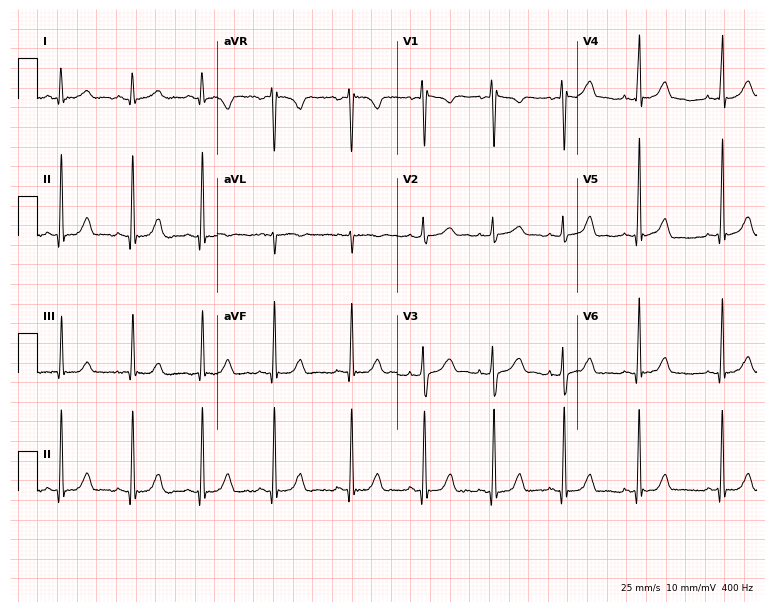
Resting 12-lead electrocardiogram. Patient: an 18-year-old female. None of these six findings is recorded: first-degree AV block, right bundle branch block, left bundle branch block, sinus bradycardia, atrial fibrillation, sinus tachycardia.